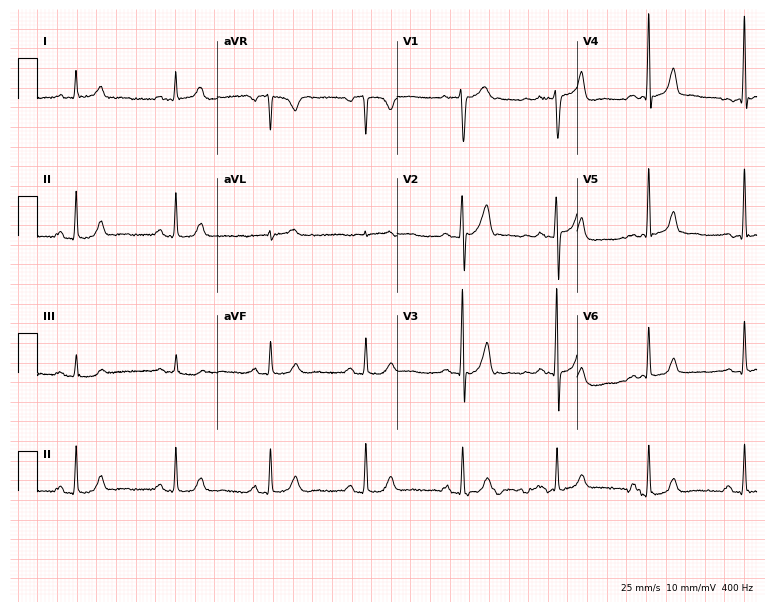
Electrocardiogram, a man, 51 years old. Of the six screened findings (first-degree AV block, right bundle branch block, left bundle branch block, sinus bradycardia, atrial fibrillation, sinus tachycardia), none is recorded.